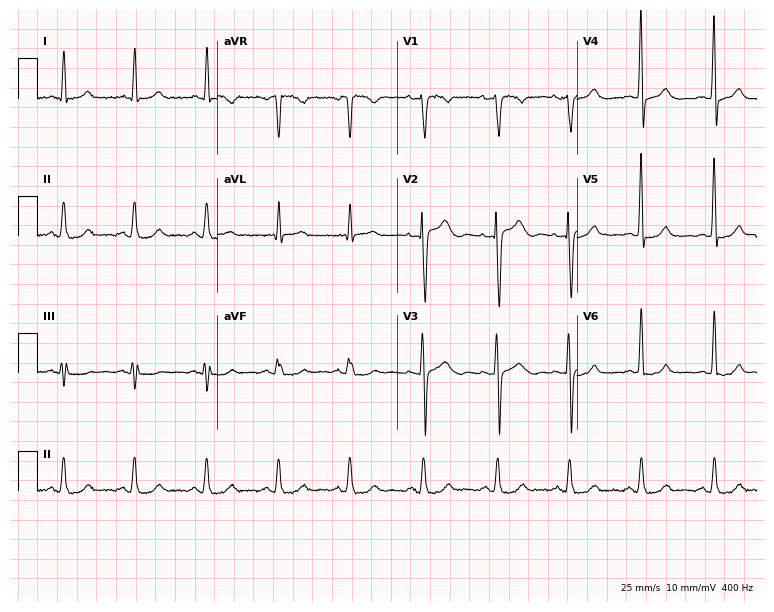
12-lead ECG from a 38-year-old female patient. No first-degree AV block, right bundle branch block (RBBB), left bundle branch block (LBBB), sinus bradycardia, atrial fibrillation (AF) or sinus tachycardia recorded for this tracing.